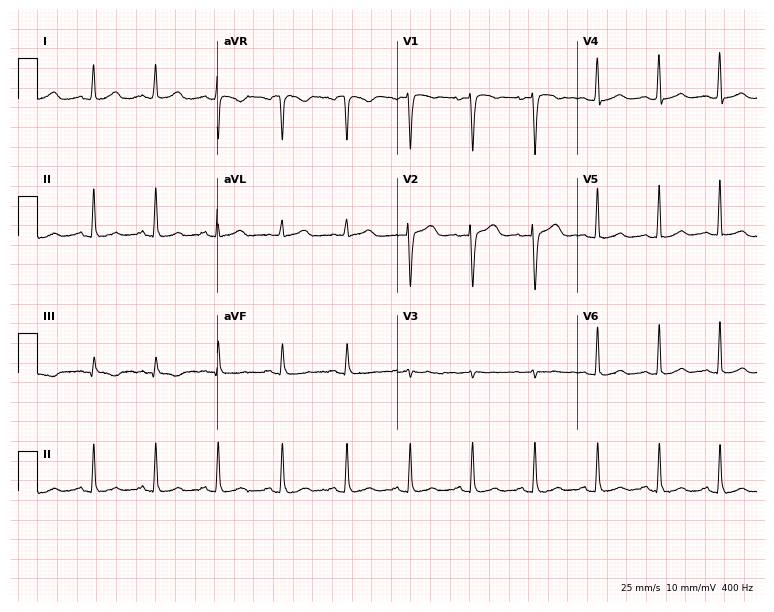
12-lead ECG from a woman, 38 years old (7.3-second recording at 400 Hz). No first-degree AV block, right bundle branch block (RBBB), left bundle branch block (LBBB), sinus bradycardia, atrial fibrillation (AF) or sinus tachycardia recorded for this tracing. Only these six findings were labelled.